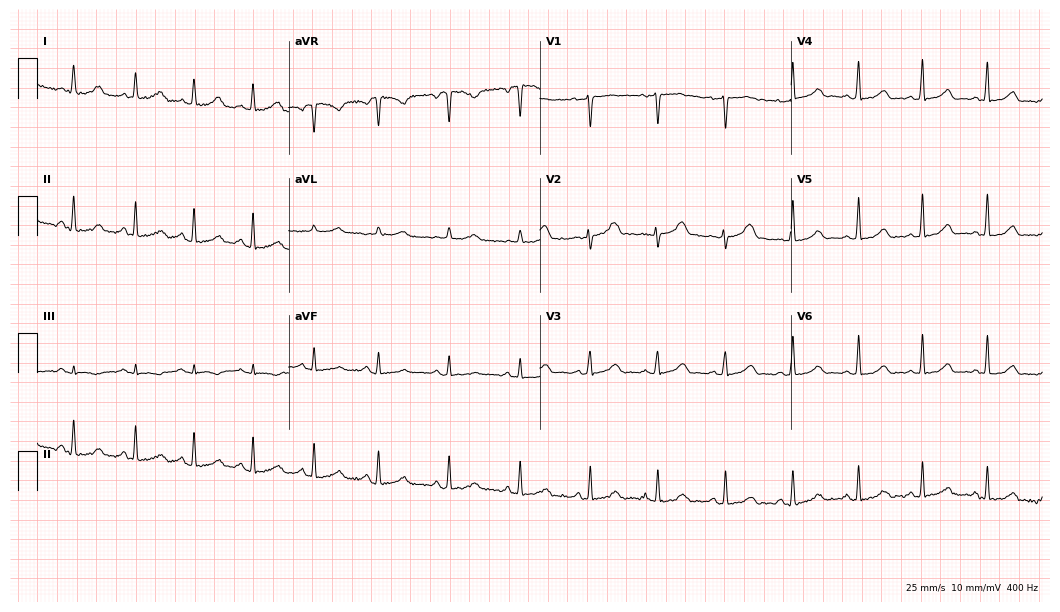
Electrocardiogram, a female, 42 years old. Overall reading on record: normal ECG.